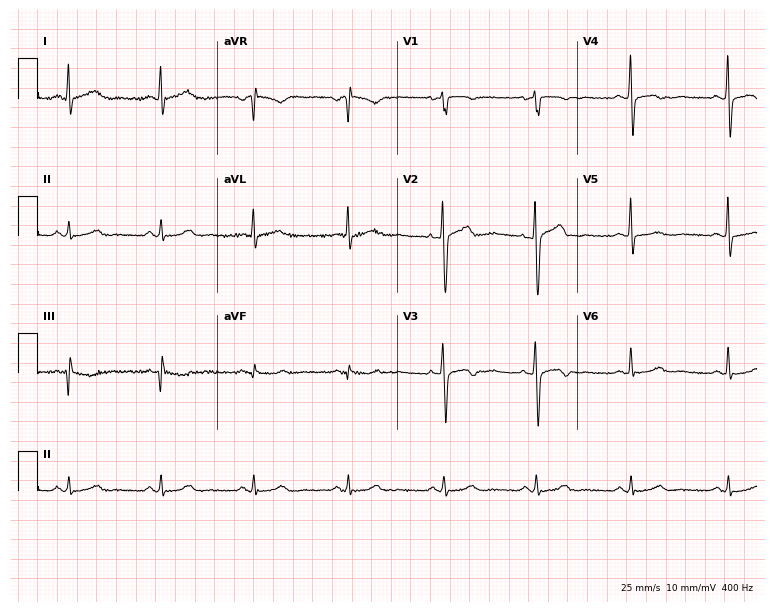
Resting 12-lead electrocardiogram. Patient: a 55-year-old female. None of these six findings is recorded: first-degree AV block, right bundle branch block, left bundle branch block, sinus bradycardia, atrial fibrillation, sinus tachycardia. Findings outside these six are not listed.